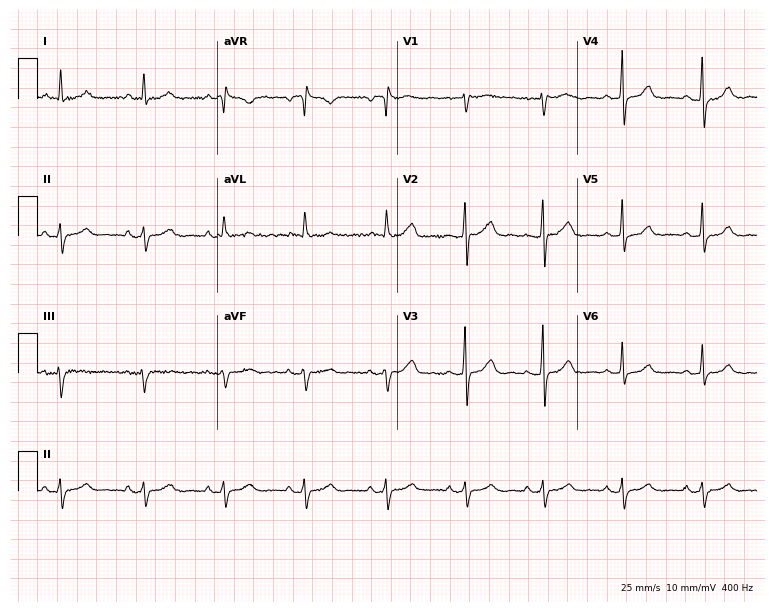
Electrocardiogram, a female, 61 years old. Overall reading on record: normal ECG.